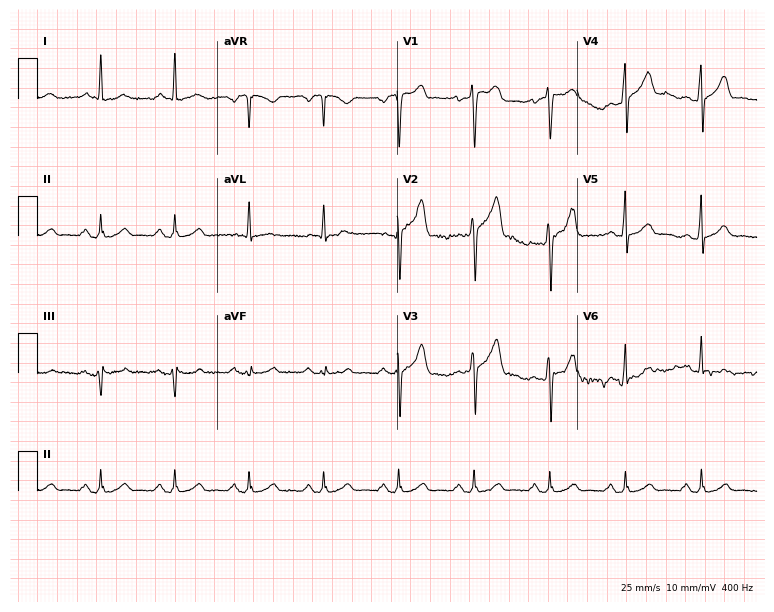
12-lead ECG from a 50-year-old male. Screened for six findings — first-degree AV block, right bundle branch block, left bundle branch block, sinus bradycardia, atrial fibrillation, sinus tachycardia — none is recorded.